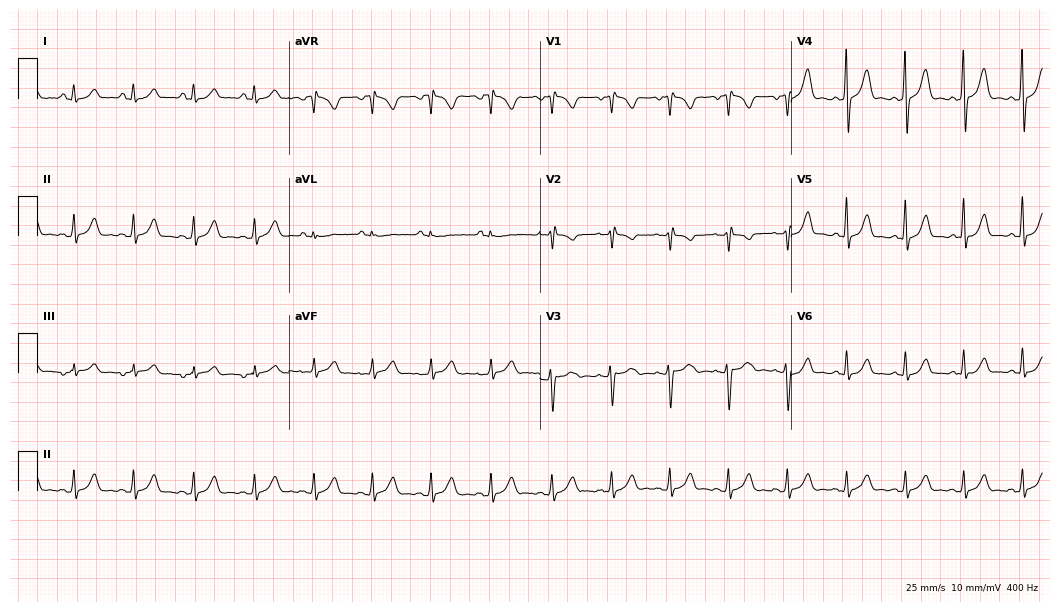
Electrocardiogram, a female patient, 31 years old. Overall reading on record: normal ECG.